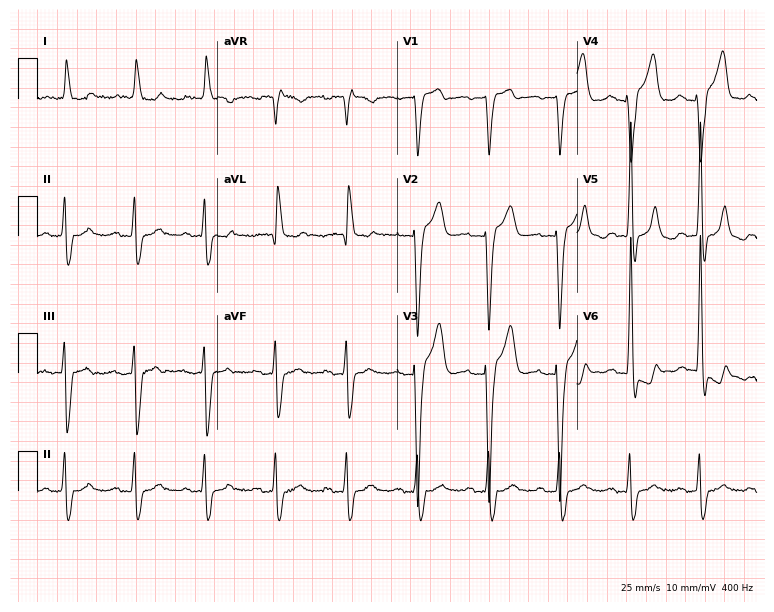
12-lead ECG (7.3-second recording at 400 Hz) from a male, 74 years old. Screened for six findings — first-degree AV block, right bundle branch block, left bundle branch block, sinus bradycardia, atrial fibrillation, sinus tachycardia — none is recorded. Only these six findings were labelled.